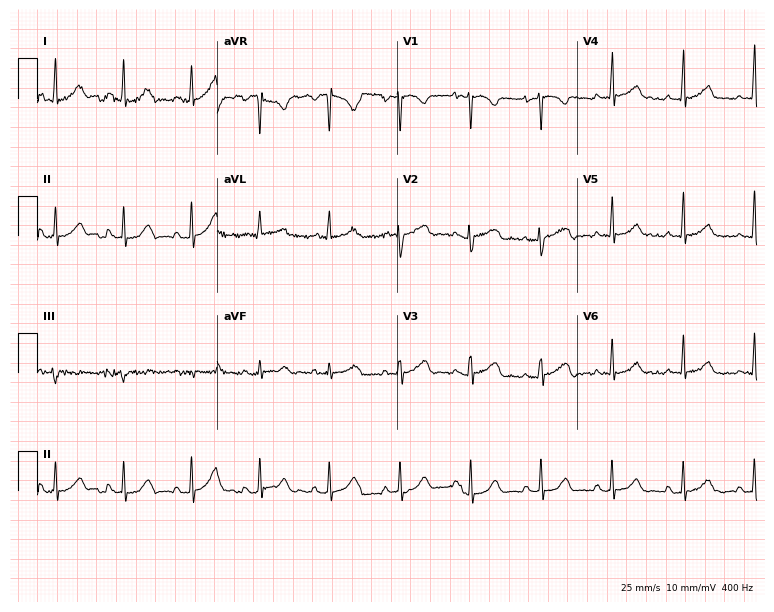
Standard 12-lead ECG recorded from a 24-year-old female patient. Read as a normal ECG.